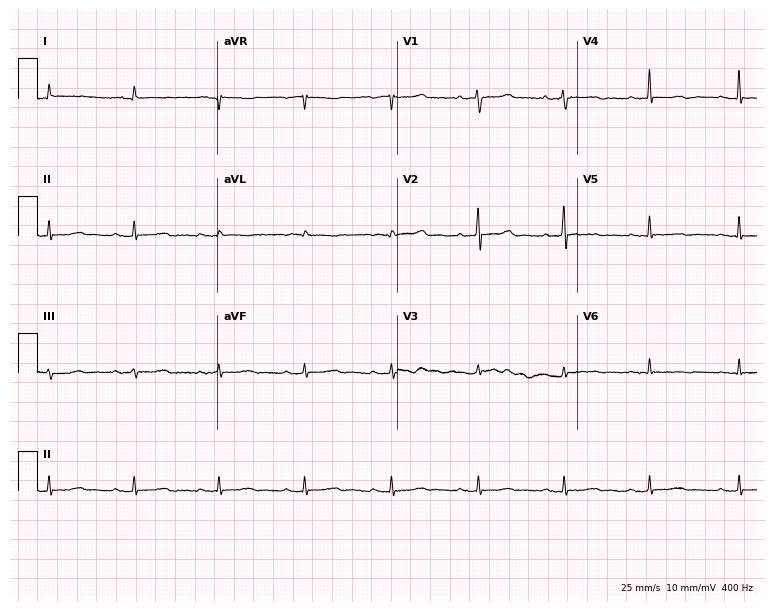
Electrocardiogram, a man, 81 years old. Of the six screened findings (first-degree AV block, right bundle branch block, left bundle branch block, sinus bradycardia, atrial fibrillation, sinus tachycardia), none is recorded. Only these six findings were labelled.